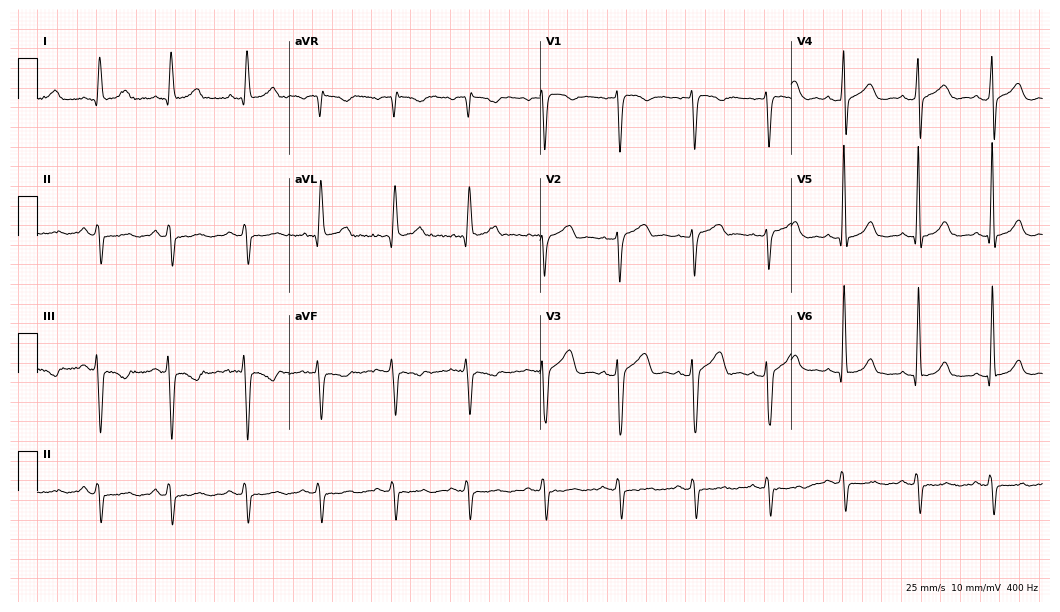
12-lead ECG from a 48-year-old man. No first-degree AV block, right bundle branch block, left bundle branch block, sinus bradycardia, atrial fibrillation or sinus tachycardia recorded for this tracing. Only these six findings were labelled.